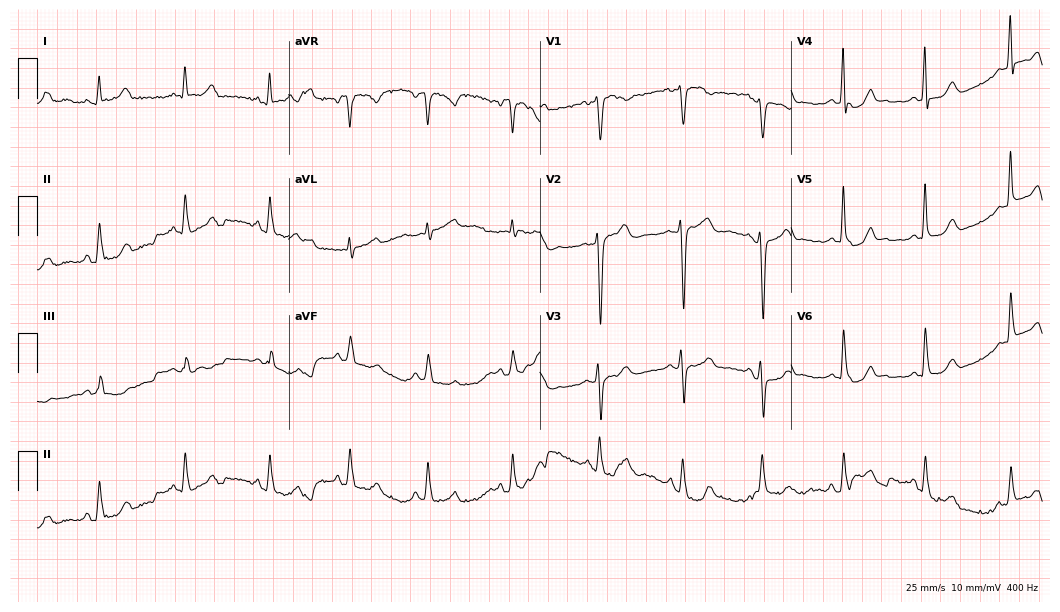
Resting 12-lead electrocardiogram. Patient: a 57-year-old female. Read as a normal ECG.